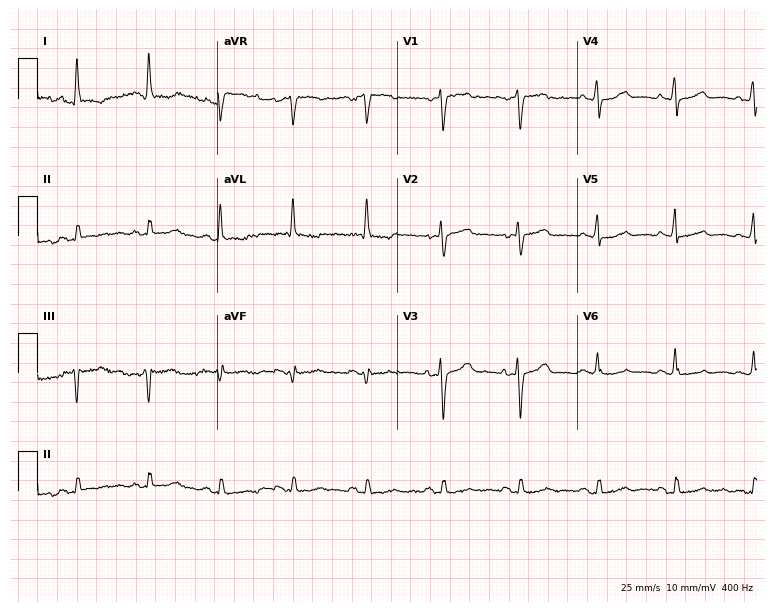
Resting 12-lead electrocardiogram (7.3-second recording at 400 Hz). Patient: a 59-year-old woman. None of these six findings is recorded: first-degree AV block, right bundle branch block, left bundle branch block, sinus bradycardia, atrial fibrillation, sinus tachycardia.